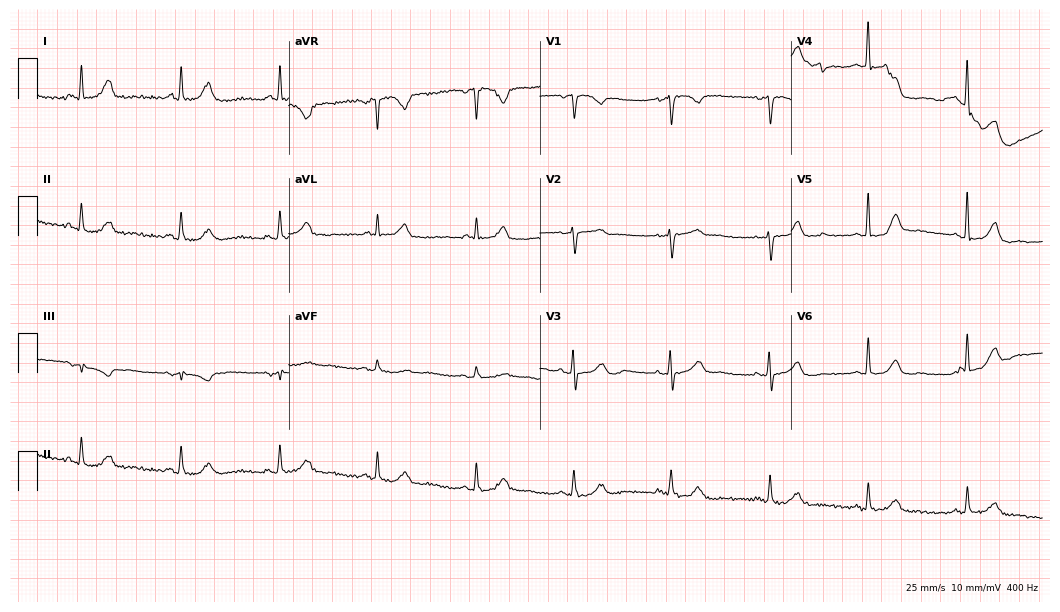
ECG (10.2-second recording at 400 Hz) — a woman, 62 years old. Labelled as a normal ECG.